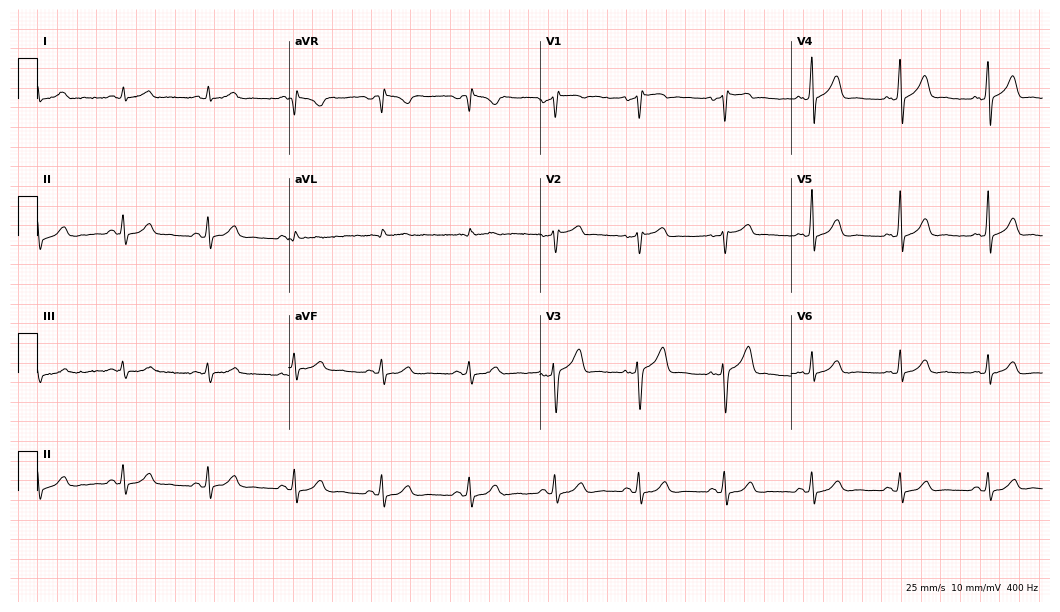
Resting 12-lead electrocardiogram (10.2-second recording at 400 Hz). Patient: a male, 63 years old. None of these six findings is recorded: first-degree AV block, right bundle branch block (RBBB), left bundle branch block (LBBB), sinus bradycardia, atrial fibrillation (AF), sinus tachycardia.